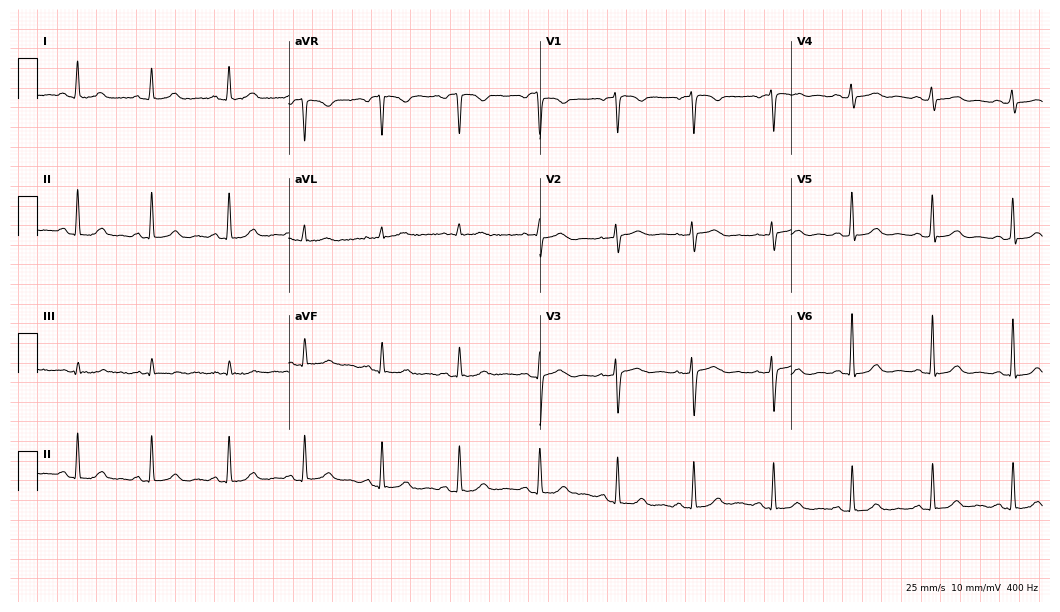
12-lead ECG from a female, 45 years old (10.2-second recording at 400 Hz). Recorded interpretation: within normal limits.